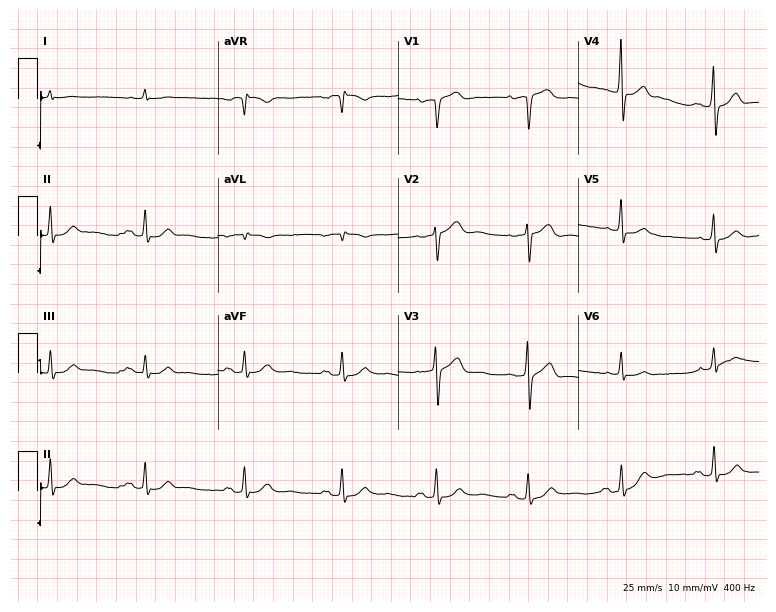
Electrocardiogram, a 71-year-old male patient. Overall reading on record: normal ECG.